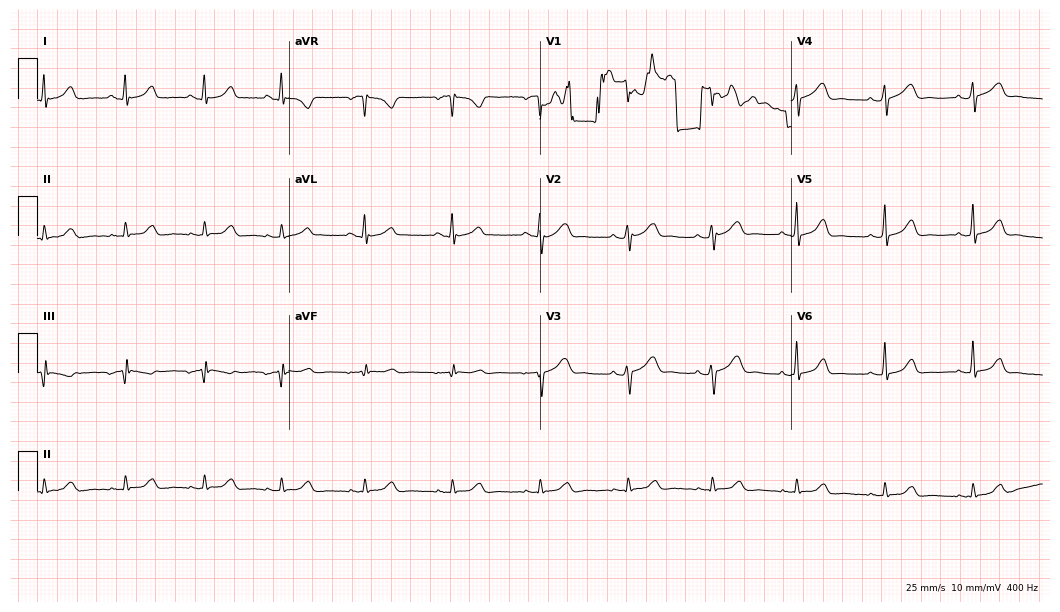
12-lead ECG from a female, 36 years old. Labelled as a normal ECG.